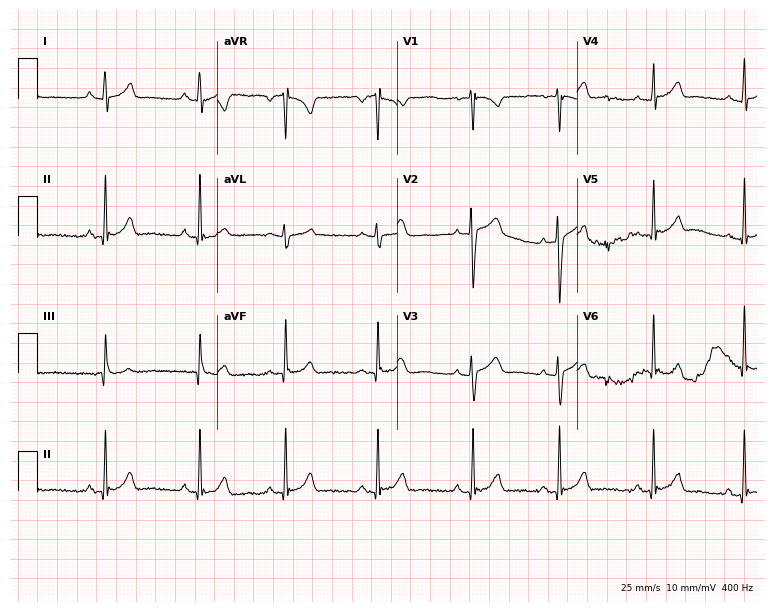
12-lead ECG from a female patient, 19 years old. Recorded interpretation: within normal limits.